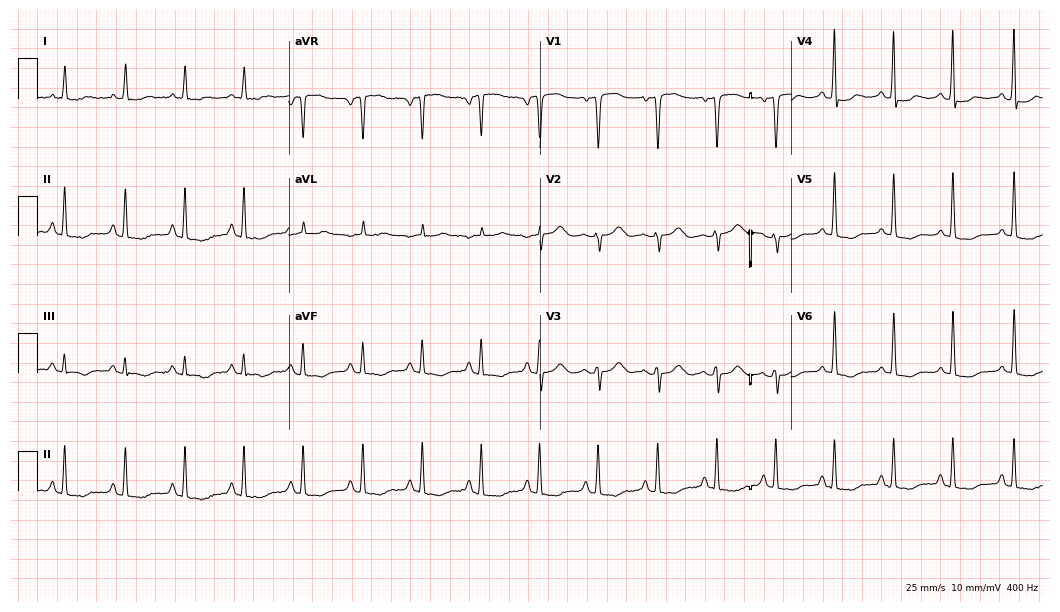
Electrocardiogram, a 67-year-old female. Of the six screened findings (first-degree AV block, right bundle branch block, left bundle branch block, sinus bradycardia, atrial fibrillation, sinus tachycardia), none is recorded.